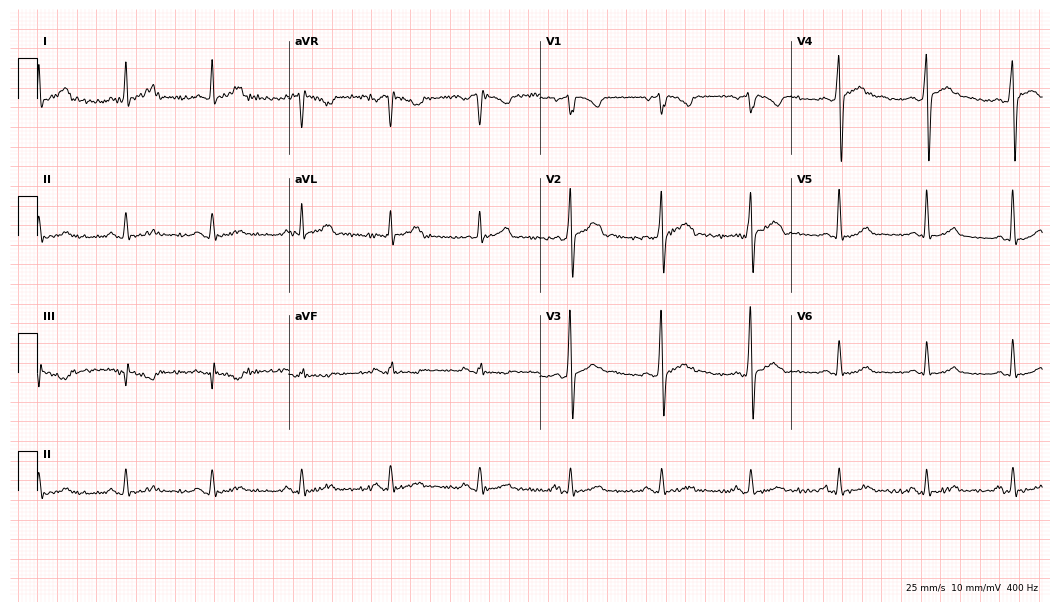
Resting 12-lead electrocardiogram. Patient: a man, 37 years old. Read as a normal ECG.